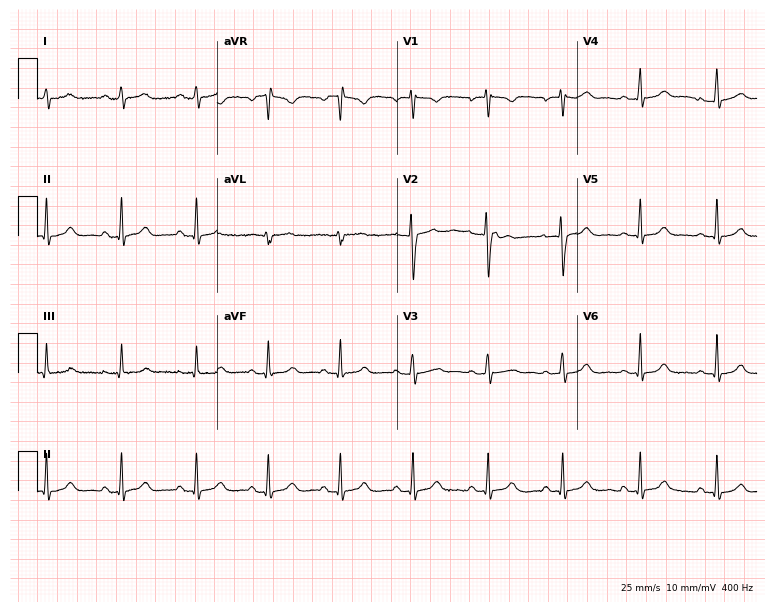
12-lead ECG (7.3-second recording at 400 Hz) from an 18-year-old female. Labelled as a normal ECG.